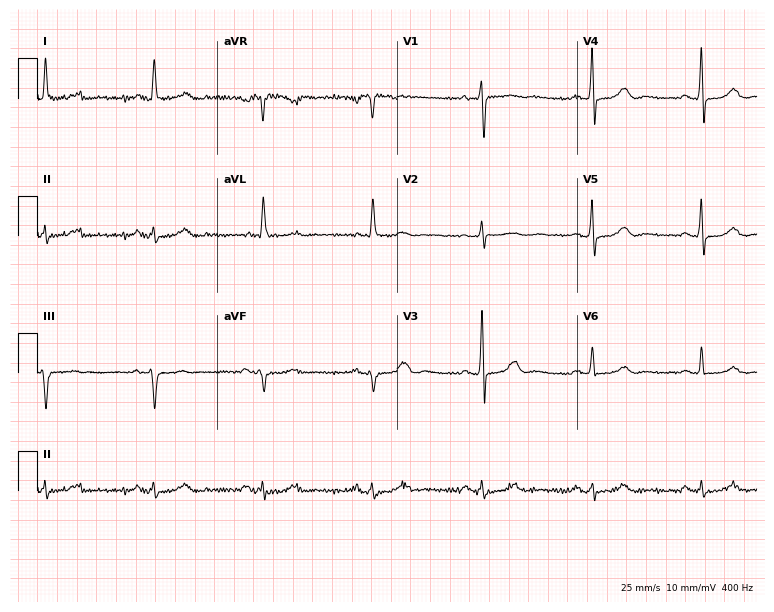
Resting 12-lead electrocardiogram. Patient: a 79-year-old male. Read as a normal ECG.